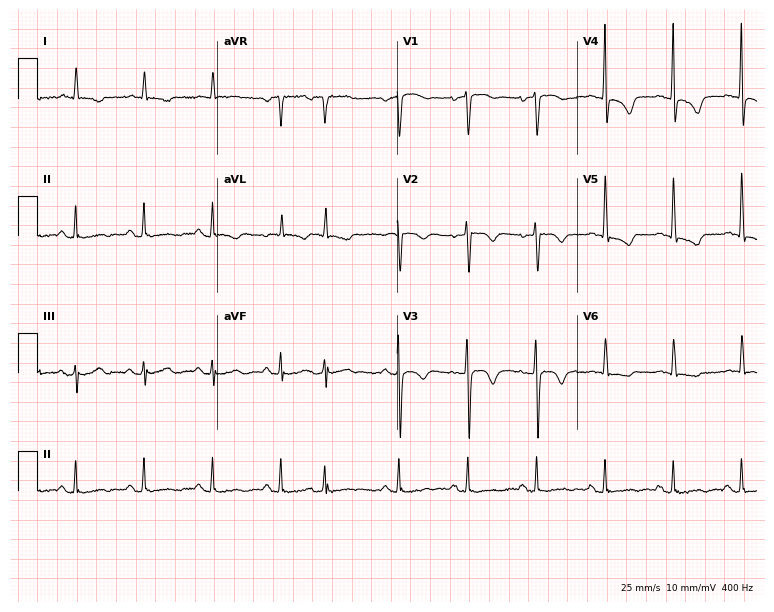
ECG (7.3-second recording at 400 Hz) — a 67-year-old male patient. Screened for six findings — first-degree AV block, right bundle branch block, left bundle branch block, sinus bradycardia, atrial fibrillation, sinus tachycardia — none is recorded. Other findings, if any, are not listed.